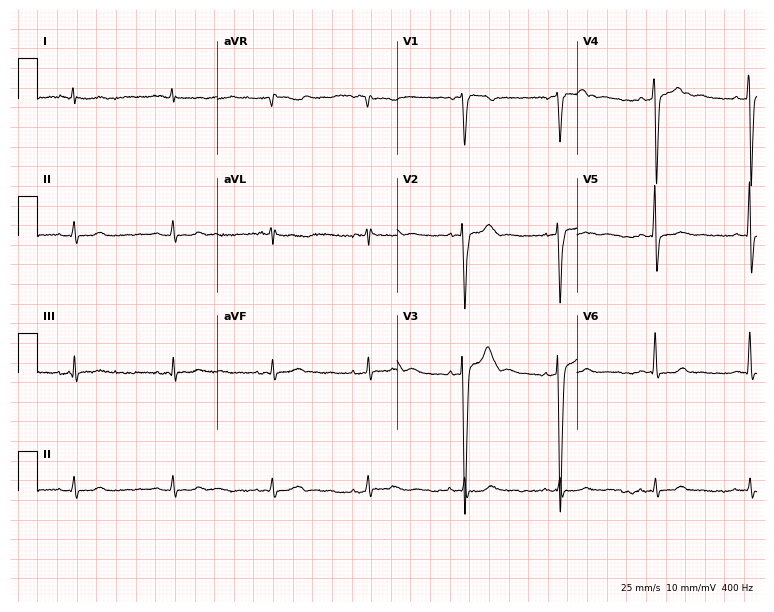
Standard 12-lead ECG recorded from a 33-year-old male patient (7.3-second recording at 400 Hz). None of these six findings is recorded: first-degree AV block, right bundle branch block (RBBB), left bundle branch block (LBBB), sinus bradycardia, atrial fibrillation (AF), sinus tachycardia. Other findings, if any, are not listed.